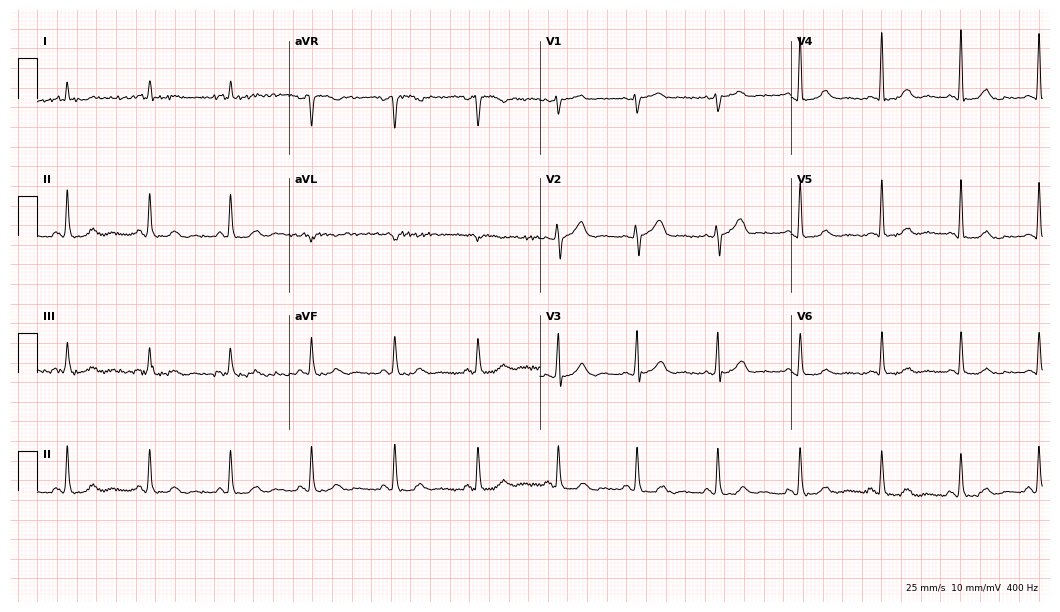
12-lead ECG from a 59-year-old male patient (10.2-second recording at 400 Hz). No first-degree AV block, right bundle branch block, left bundle branch block, sinus bradycardia, atrial fibrillation or sinus tachycardia recorded for this tracing. Only these six findings were labelled.